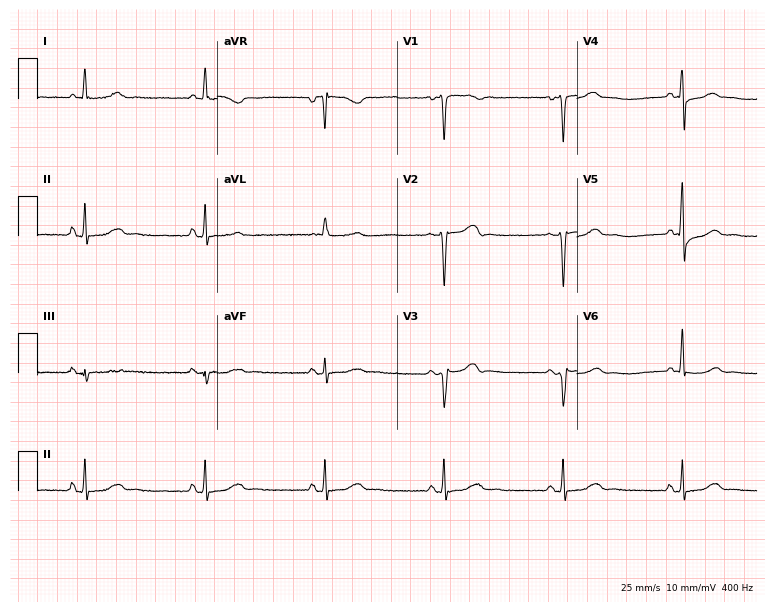
Resting 12-lead electrocardiogram (7.3-second recording at 400 Hz). Patient: a male, 69 years old. None of these six findings is recorded: first-degree AV block, right bundle branch block, left bundle branch block, sinus bradycardia, atrial fibrillation, sinus tachycardia. Other findings, if any, are not listed.